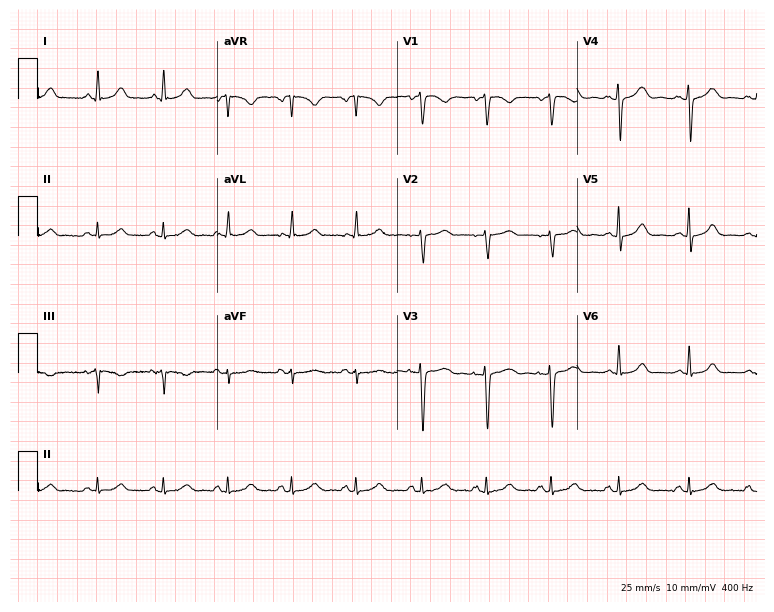
Resting 12-lead electrocardiogram. Patient: a 36-year-old female. Read as a normal ECG.